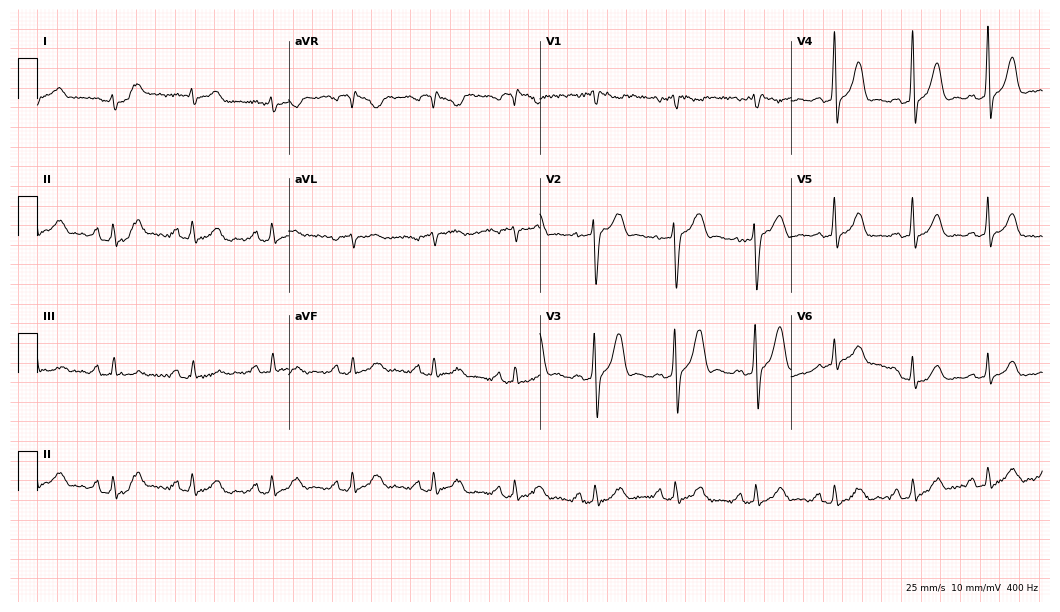
Resting 12-lead electrocardiogram (10.2-second recording at 400 Hz). Patient: a male, 57 years old. None of these six findings is recorded: first-degree AV block, right bundle branch block, left bundle branch block, sinus bradycardia, atrial fibrillation, sinus tachycardia. Other findings, if any, are not listed.